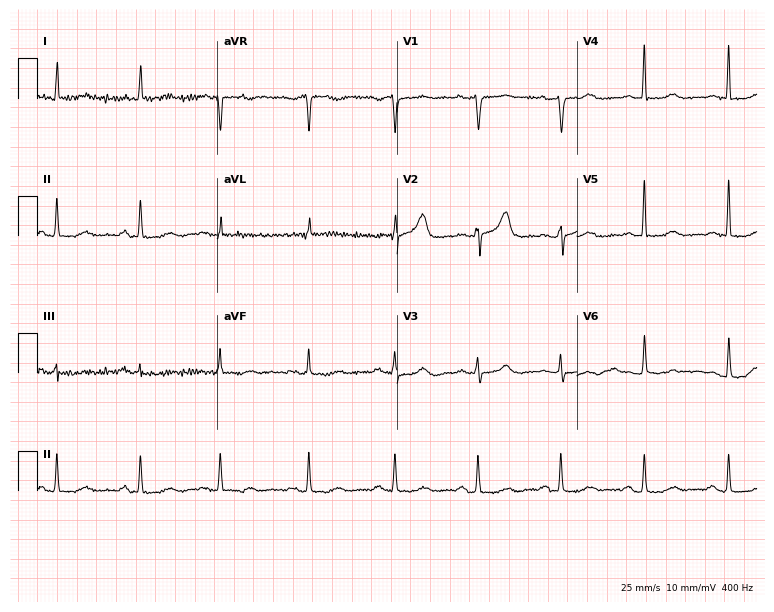
Electrocardiogram, a woman, 76 years old. Overall reading on record: normal ECG.